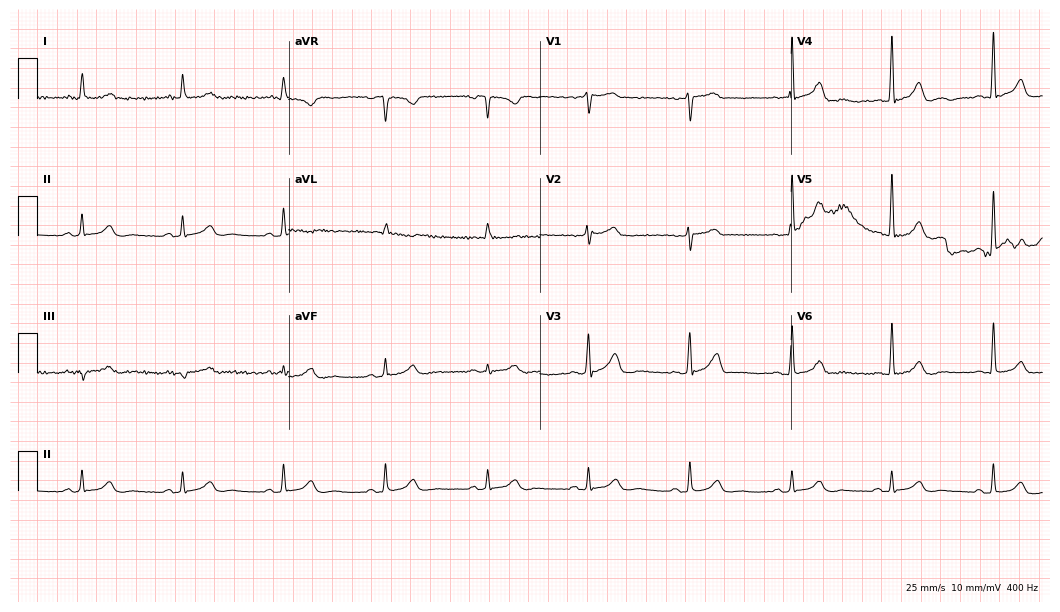
ECG — a male patient, 66 years old. Labelled as a normal ECG.